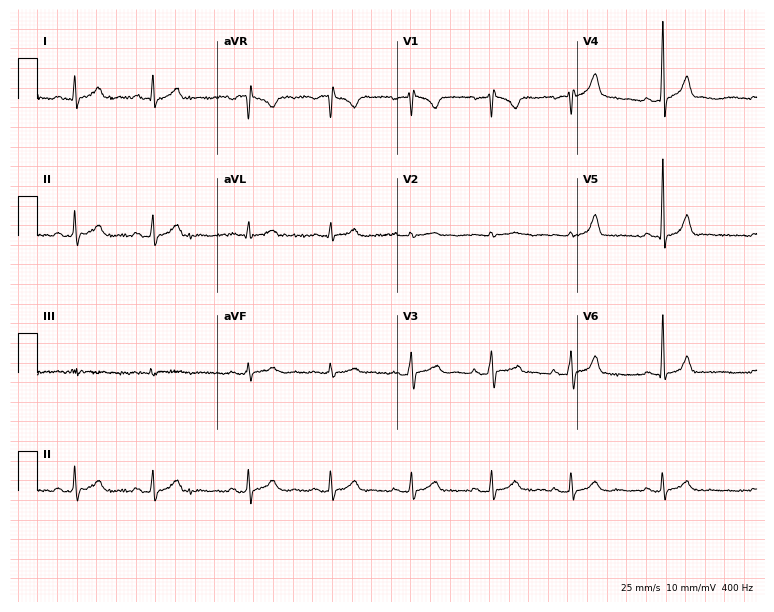
Standard 12-lead ECG recorded from a 27-year-old woman. None of these six findings is recorded: first-degree AV block, right bundle branch block (RBBB), left bundle branch block (LBBB), sinus bradycardia, atrial fibrillation (AF), sinus tachycardia. Only these six findings were labelled.